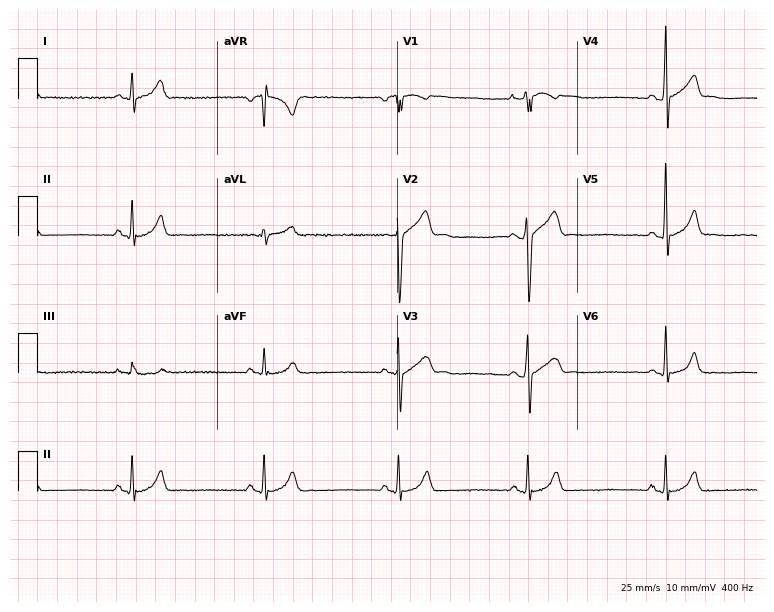
Standard 12-lead ECG recorded from a 22-year-old man (7.3-second recording at 400 Hz). None of these six findings is recorded: first-degree AV block, right bundle branch block (RBBB), left bundle branch block (LBBB), sinus bradycardia, atrial fibrillation (AF), sinus tachycardia. Only these six findings were labelled.